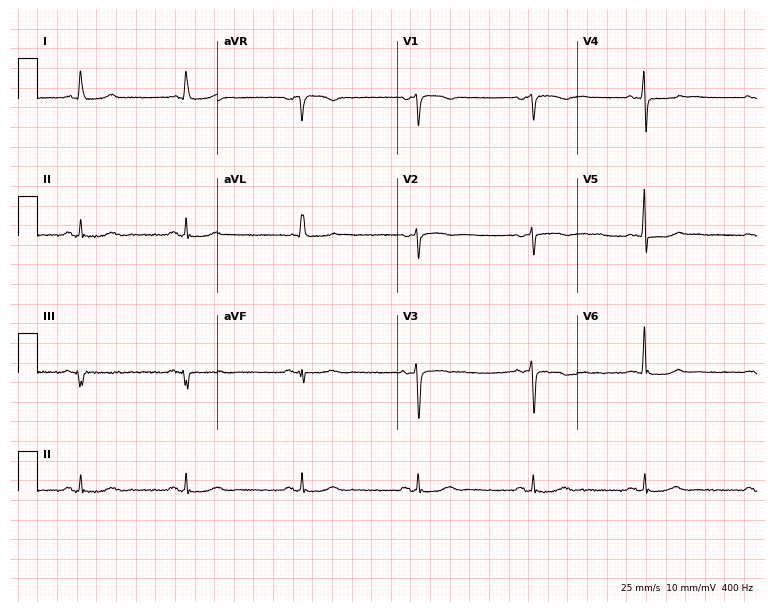
Resting 12-lead electrocardiogram. Patient: a 62-year-old woman. Read as a normal ECG.